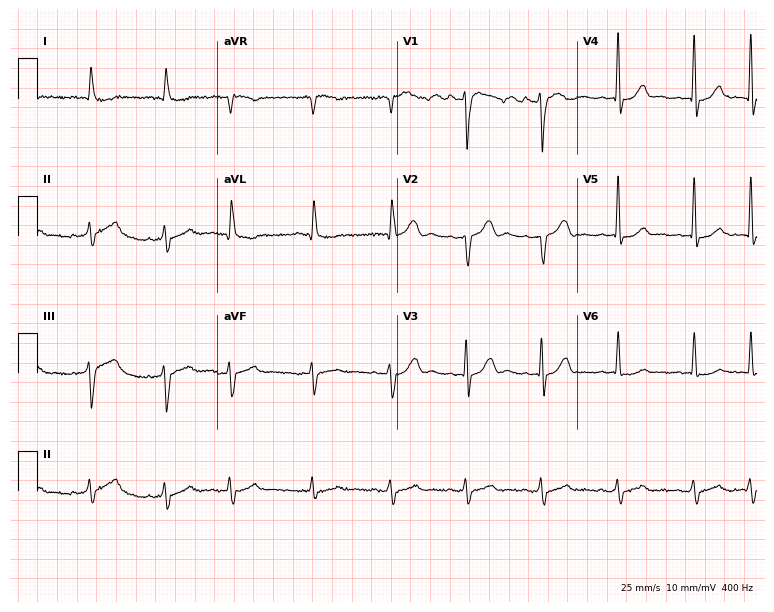
ECG — a 69-year-old female patient. Screened for six findings — first-degree AV block, right bundle branch block, left bundle branch block, sinus bradycardia, atrial fibrillation, sinus tachycardia — none is recorded. Findings outside these six are not listed.